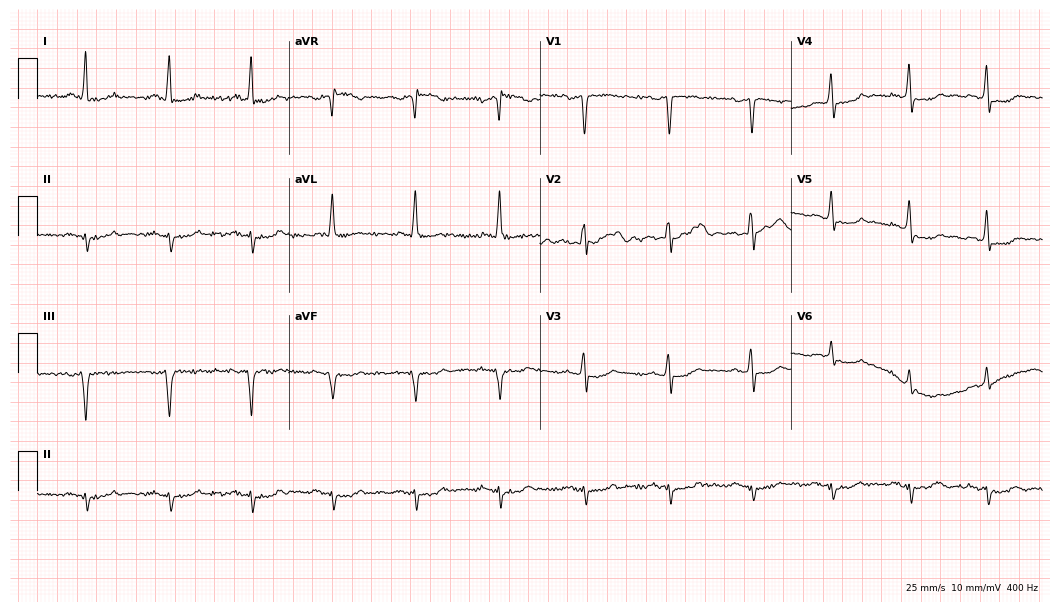
Resting 12-lead electrocardiogram (10.2-second recording at 400 Hz). Patient: a 67-year-old male. None of these six findings is recorded: first-degree AV block, right bundle branch block, left bundle branch block, sinus bradycardia, atrial fibrillation, sinus tachycardia.